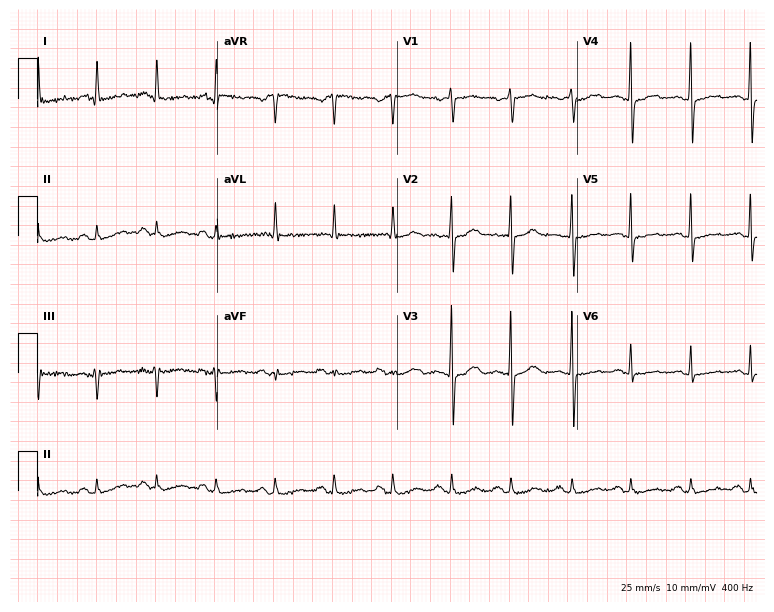
Resting 12-lead electrocardiogram. Patient: a woman, 63 years old. None of these six findings is recorded: first-degree AV block, right bundle branch block, left bundle branch block, sinus bradycardia, atrial fibrillation, sinus tachycardia. Findings outside these six are not listed.